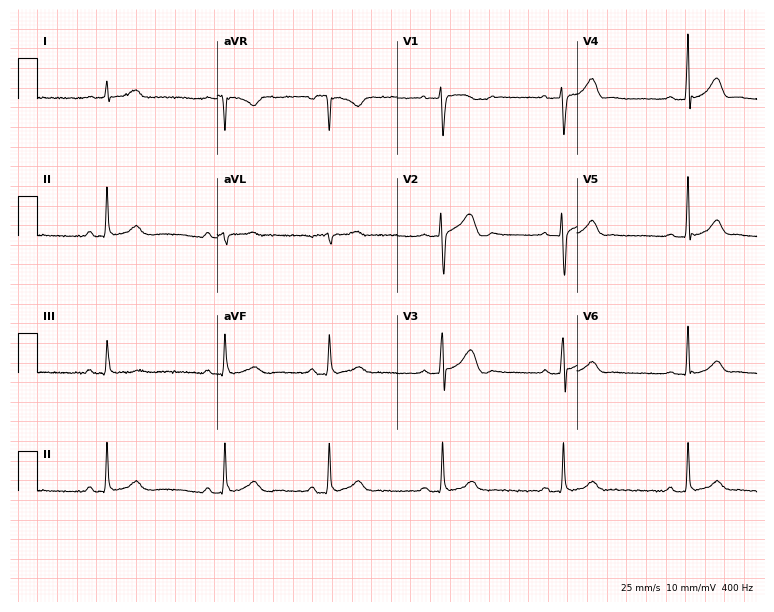
Electrocardiogram (7.3-second recording at 400 Hz), a male, 43 years old. Interpretation includes sinus bradycardia (a sinus rate of 50 beats per minute or less).